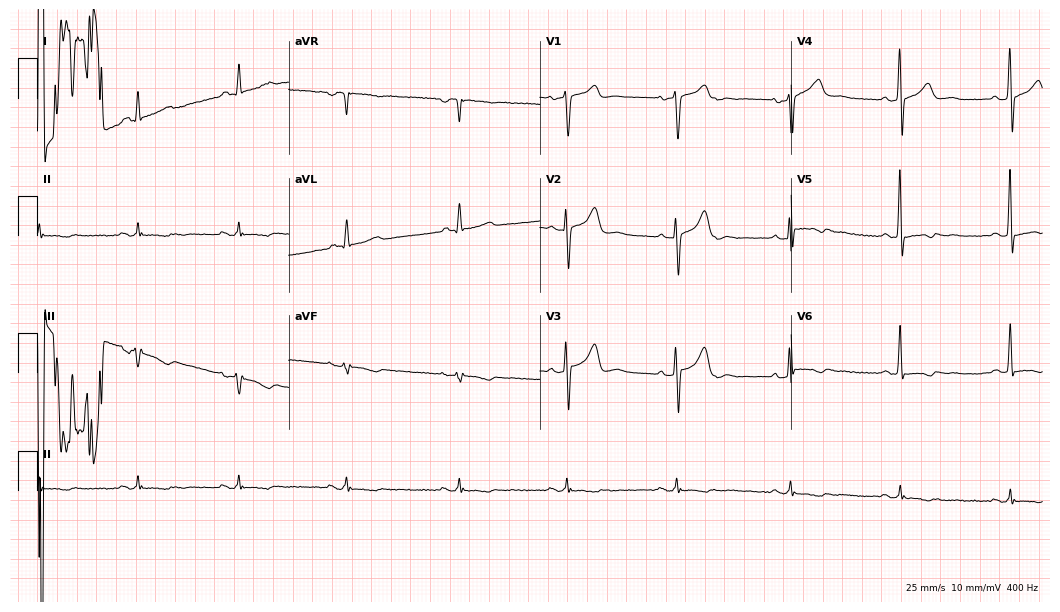
Electrocardiogram, a 66-year-old man. Overall reading on record: normal ECG.